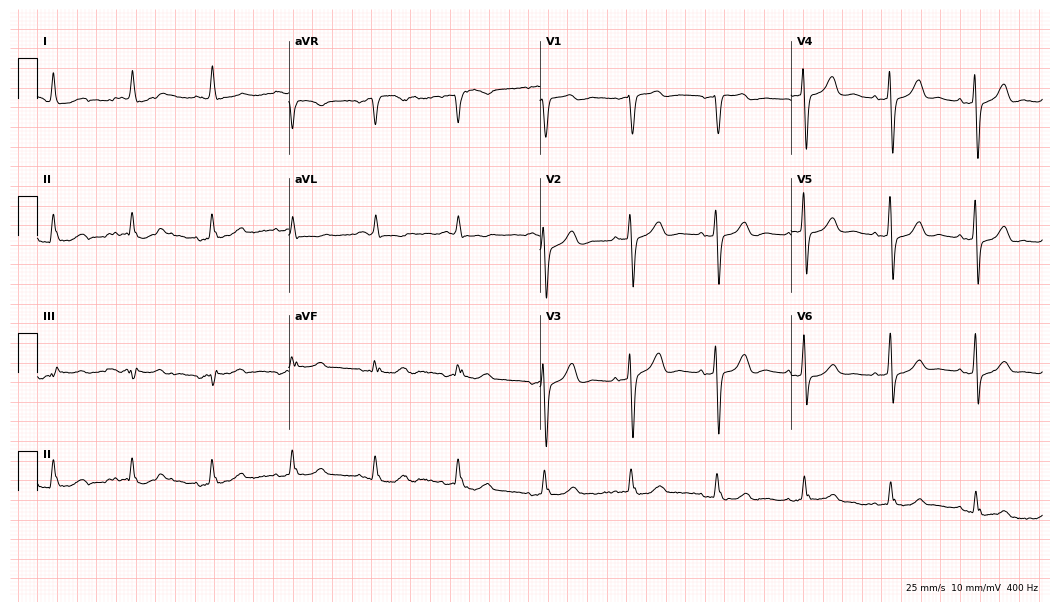
12-lead ECG from an 84-year-old female. No first-degree AV block, right bundle branch block (RBBB), left bundle branch block (LBBB), sinus bradycardia, atrial fibrillation (AF) or sinus tachycardia recorded for this tracing.